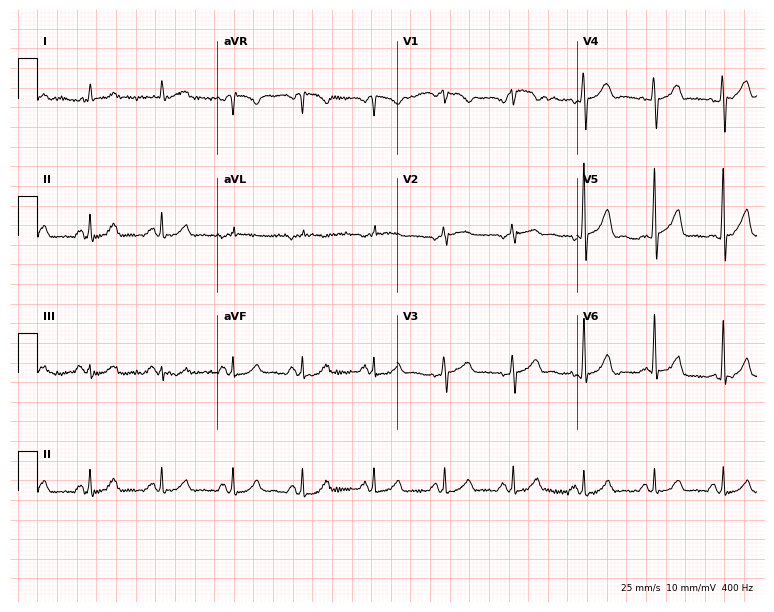
12-lead ECG (7.3-second recording at 400 Hz) from a male patient, 74 years old. Labelled as a normal ECG.